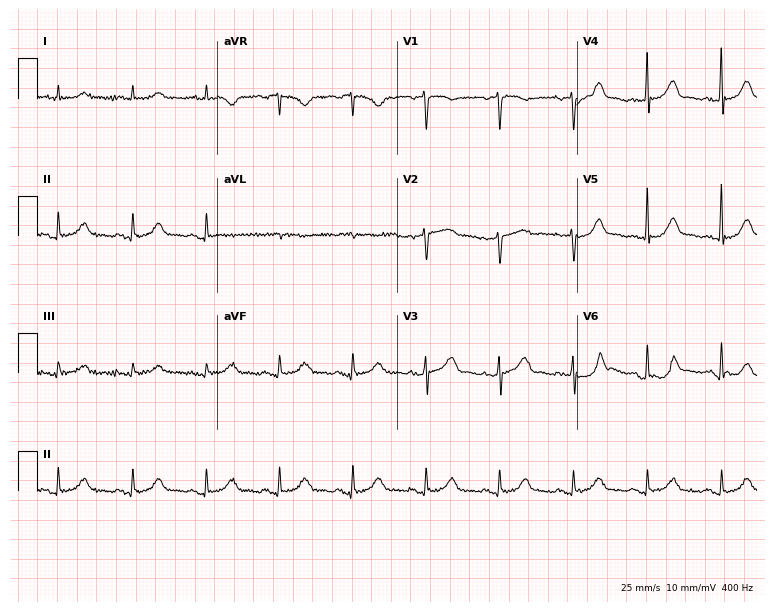
Standard 12-lead ECG recorded from a 78-year-old female (7.3-second recording at 400 Hz). Read as a normal ECG.